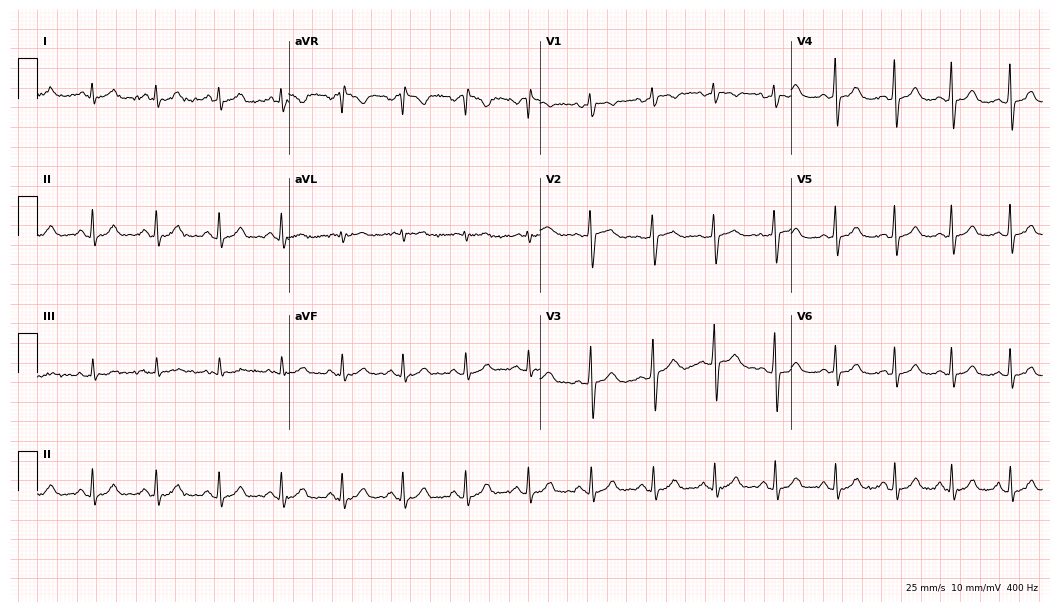
ECG — a 23-year-old woman. Labelled as a normal ECG.